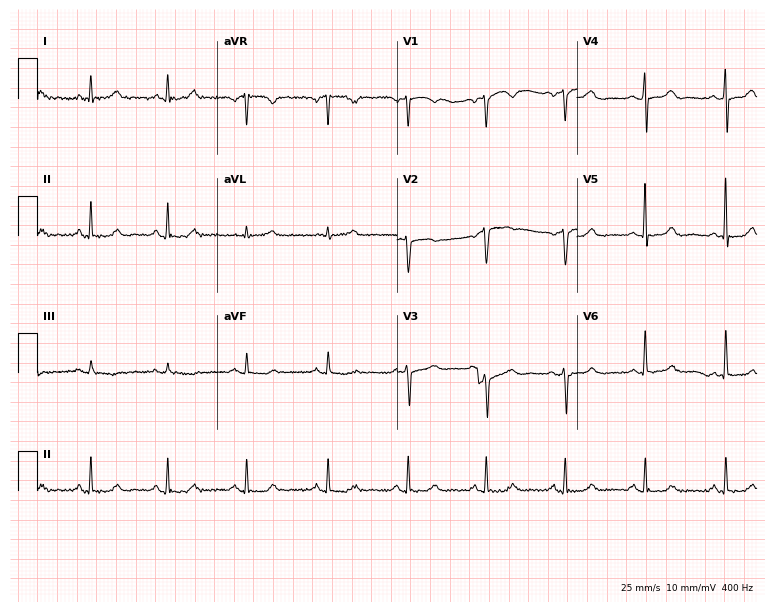
Resting 12-lead electrocardiogram (7.3-second recording at 400 Hz). Patient: a female, 53 years old. None of these six findings is recorded: first-degree AV block, right bundle branch block (RBBB), left bundle branch block (LBBB), sinus bradycardia, atrial fibrillation (AF), sinus tachycardia.